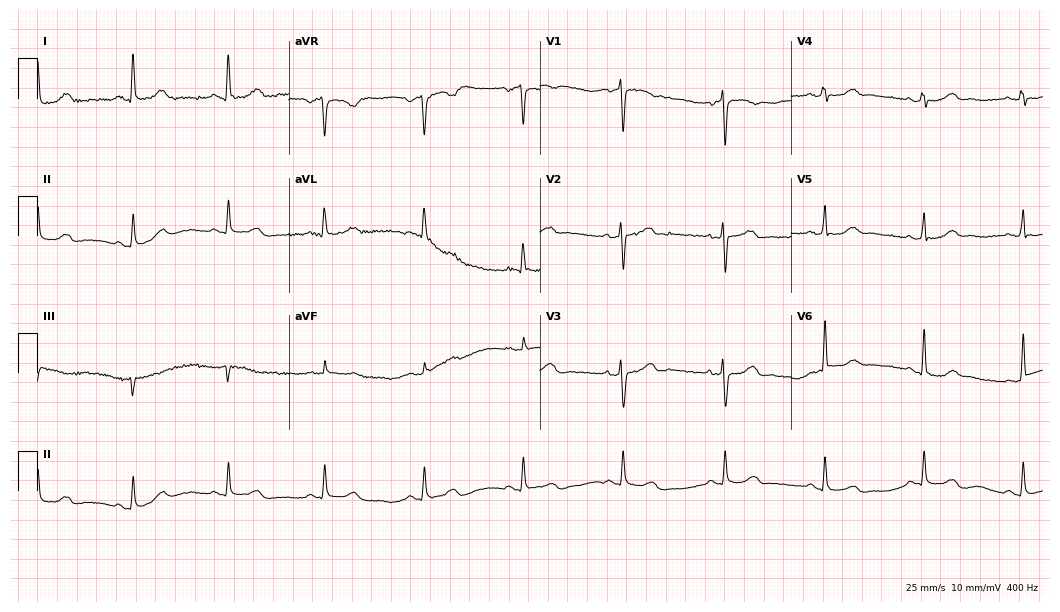
Standard 12-lead ECG recorded from a 53-year-old female patient. Read as a normal ECG.